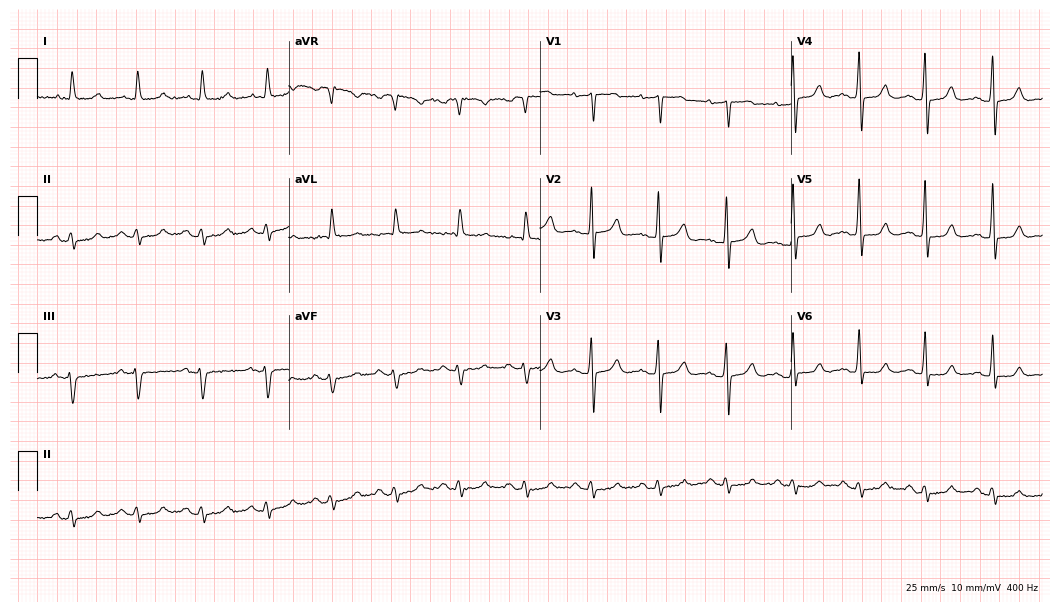
Resting 12-lead electrocardiogram (10.2-second recording at 400 Hz). Patient: a woman, 60 years old. Read as a normal ECG.